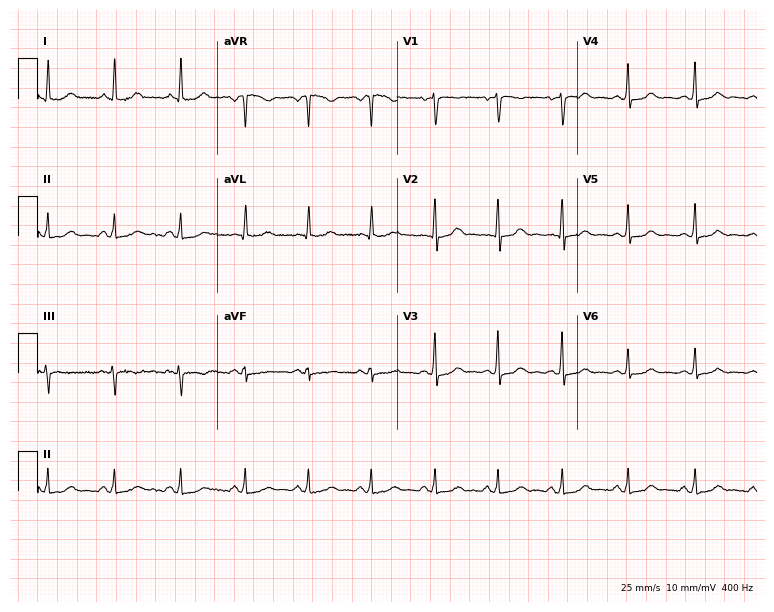
ECG — a 57-year-old woman. Screened for six findings — first-degree AV block, right bundle branch block, left bundle branch block, sinus bradycardia, atrial fibrillation, sinus tachycardia — none is recorded.